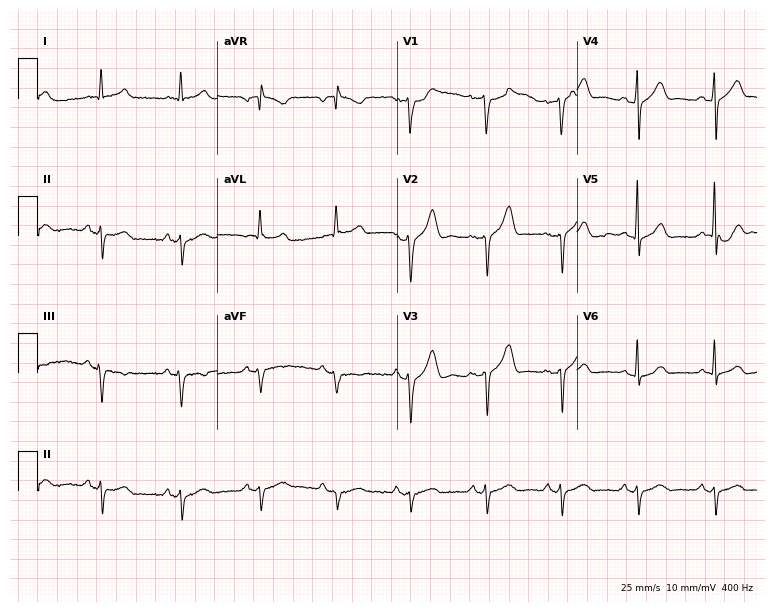
12-lead ECG from a 59-year-old man. No first-degree AV block, right bundle branch block, left bundle branch block, sinus bradycardia, atrial fibrillation or sinus tachycardia recorded for this tracing.